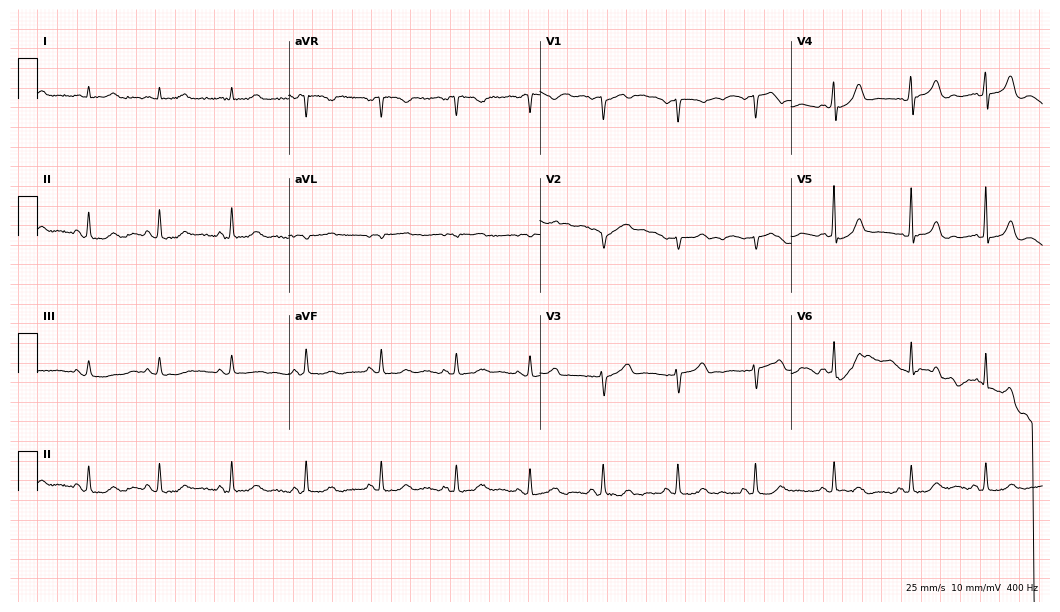
12-lead ECG from a 52-year-old woman. No first-degree AV block, right bundle branch block, left bundle branch block, sinus bradycardia, atrial fibrillation or sinus tachycardia recorded for this tracing. Findings outside these six are not listed.